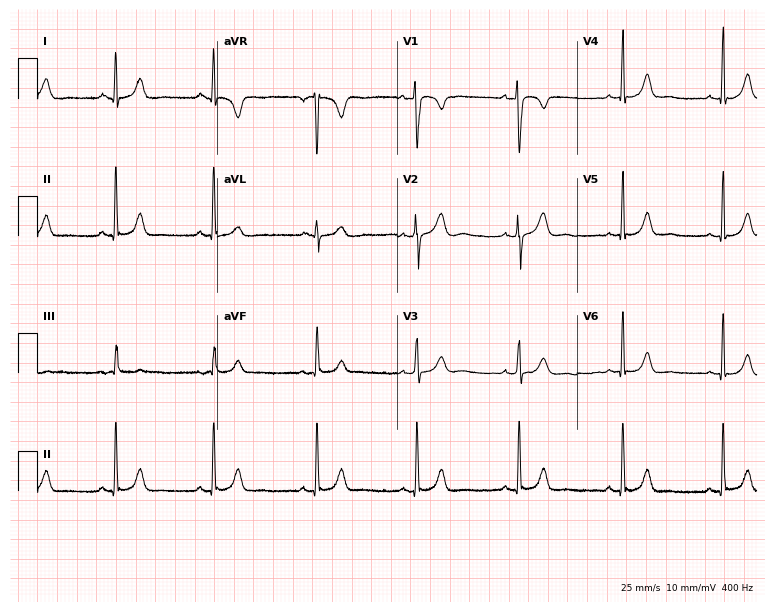
Electrocardiogram (7.3-second recording at 400 Hz), a female patient, 28 years old. Of the six screened findings (first-degree AV block, right bundle branch block, left bundle branch block, sinus bradycardia, atrial fibrillation, sinus tachycardia), none is recorded. Only these six findings were labelled.